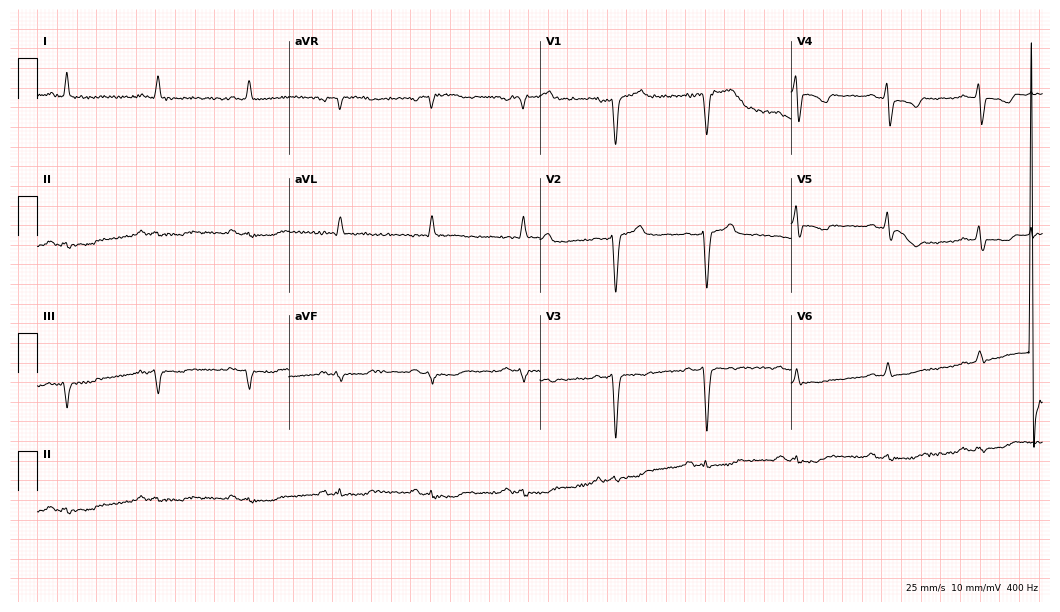
Electrocardiogram, a male, 62 years old. Of the six screened findings (first-degree AV block, right bundle branch block, left bundle branch block, sinus bradycardia, atrial fibrillation, sinus tachycardia), none is recorded.